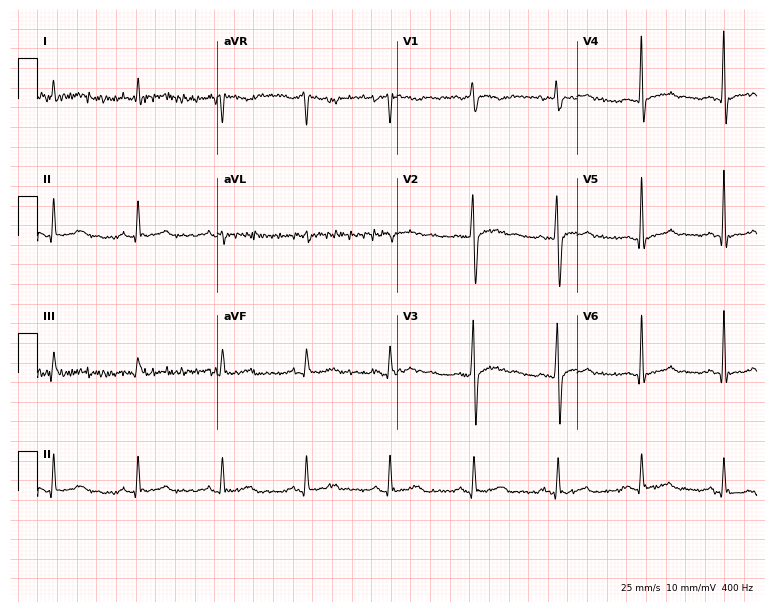
Standard 12-lead ECG recorded from a 44-year-old male patient. Read as a normal ECG.